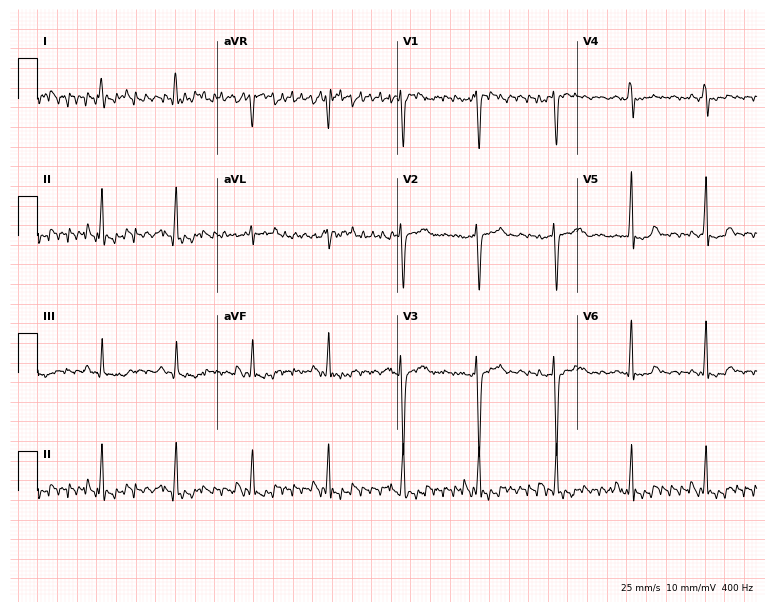
Standard 12-lead ECG recorded from a woman, 38 years old. None of these six findings is recorded: first-degree AV block, right bundle branch block (RBBB), left bundle branch block (LBBB), sinus bradycardia, atrial fibrillation (AF), sinus tachycardia. Only these six findings were labelled.